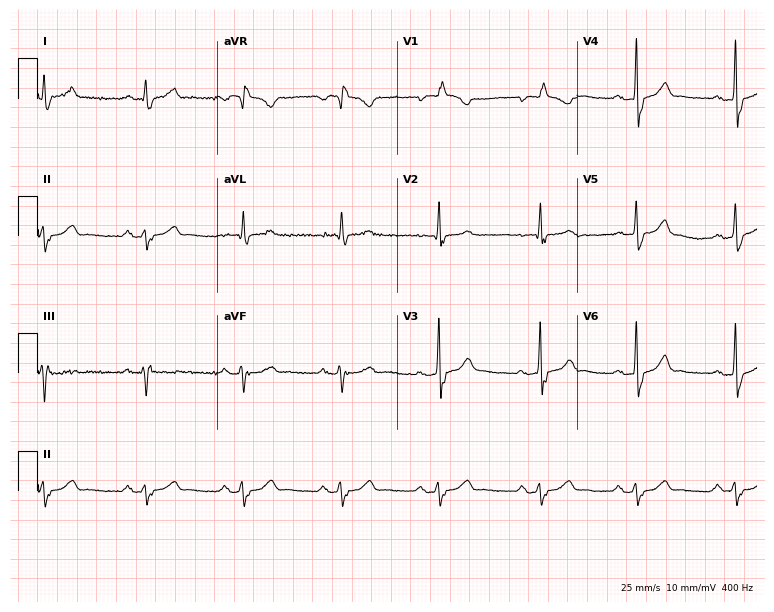
ECG — a 69-year-old male patient. Findings include right bundle branch block.